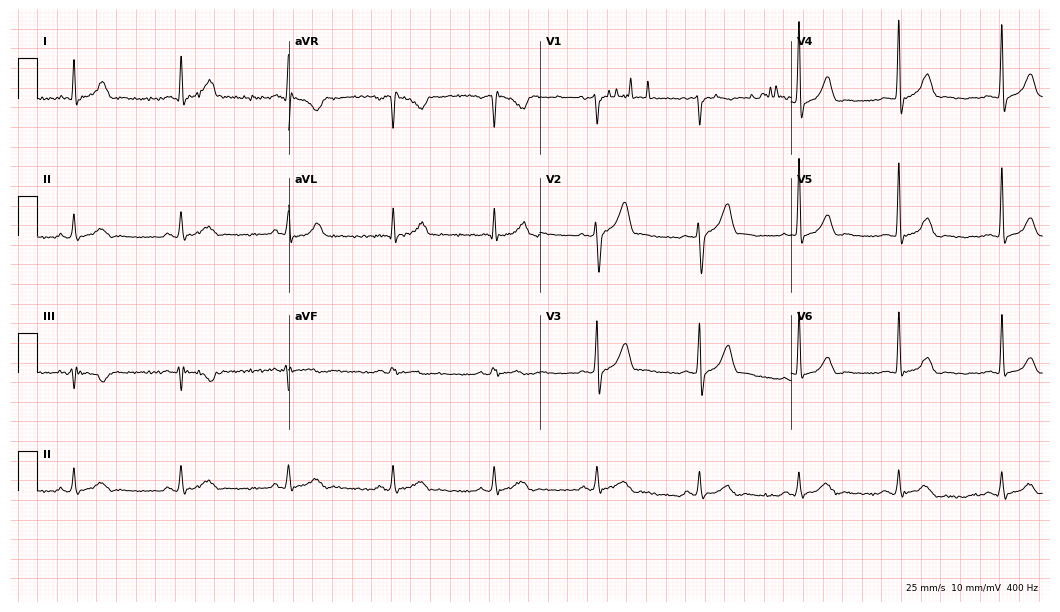
12-lead ECG from a man, 47 years old. No first-degree AV block, right bundle branch block (RBBB), left bundle branch block (LBBB), sinus bradycardia, atrial fibrillation (AF) or sinus tachycardia recorded for this tracing. Only these six findings were labelled.